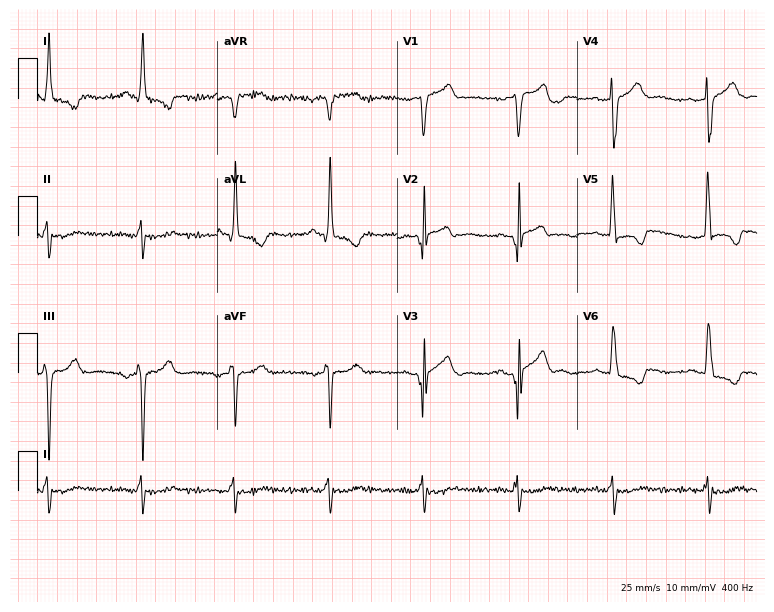
Standard 12-lead ECG recorded from a 77-year-old man (7.3-second recording at 400 Hz). None of these six findings is recorded: first-degree AV block, right bundle branch block (RBBB), left bundle branch block (LBBB), sinus bradycardia, atrial fibrillation (AF), sinus tachycardia. Only these six findings were labelled.